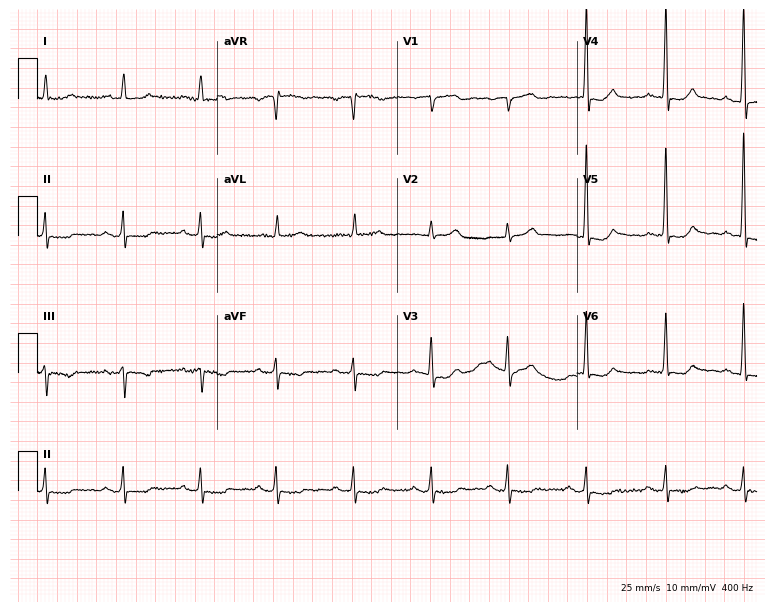
Electrocardiogram (7.3-second recording at 400 Hz), a man, 72 years old. Of the six screened findings (first-degree AV block, right bundle branch block, left bundle branch block, sinus bradycardia, atrial fibrillation, sinus tachycardia), none is recorded. Findings outside these six are not listed.